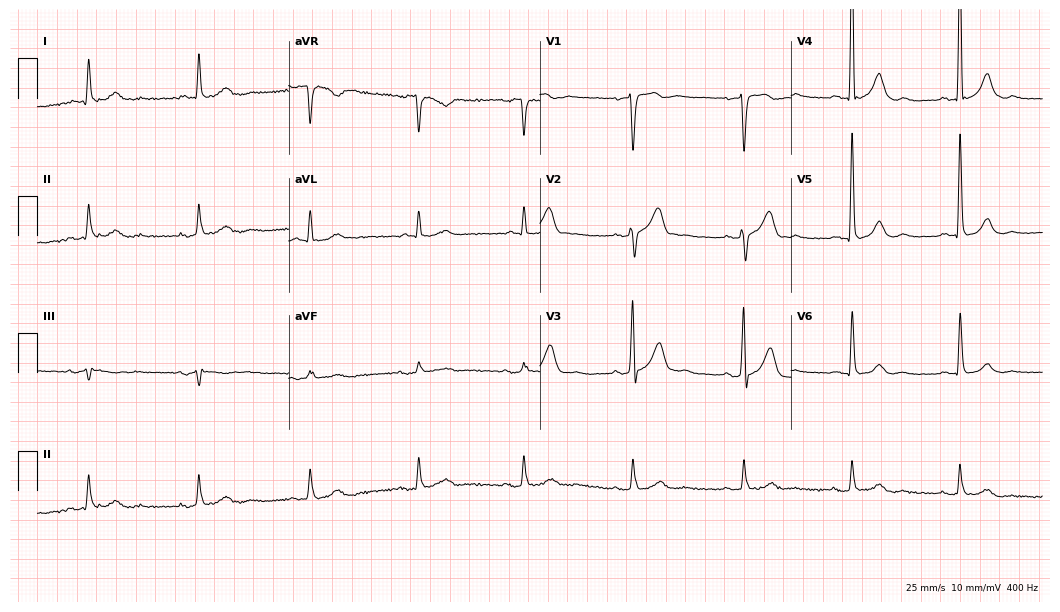
Resting 12-lead electrocardiogram. Patient: a male, 72 years old. Read as a normal ECG.